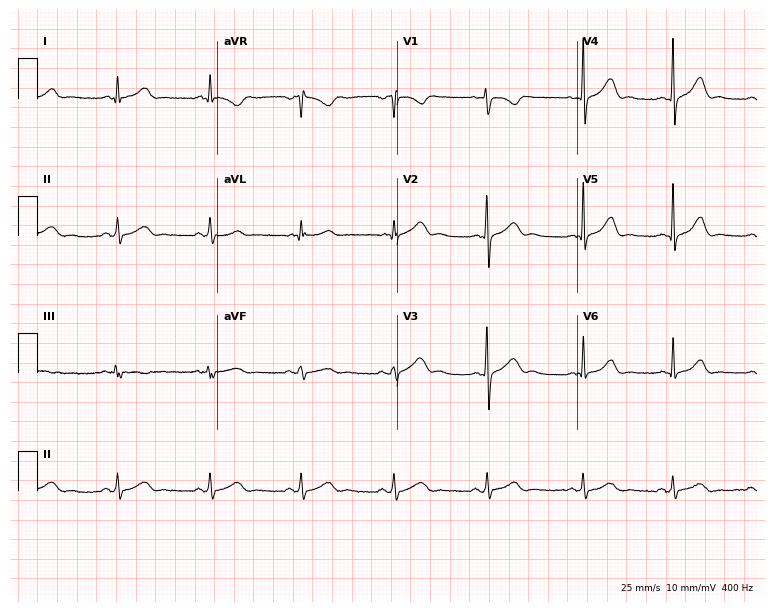
Standard 12-lead ECG recorded from a woman, 22 years old. Read as a normal ECG.